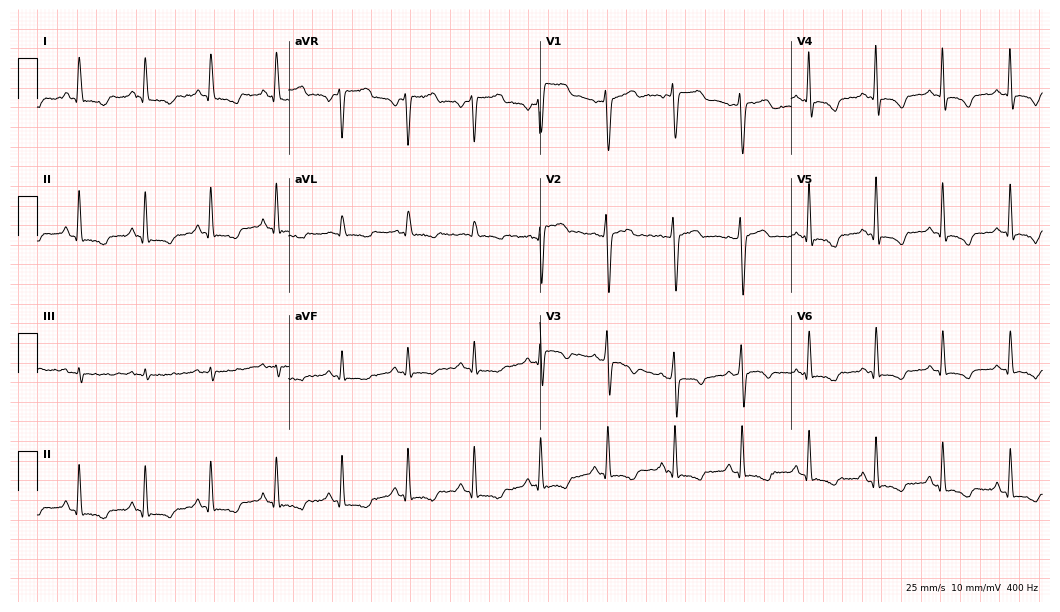
12-lead ECG from a male patient, 67 years old (10.2-second recording at 400 Hz). No first-degree AV block, right bundle branch block (RBBB), left bundle branch block (LBBB), sinus bradycardia, atrial fibrillation (AF) or sinus tachycardia recorded for this tracing. Other findings, if any, are not listed.